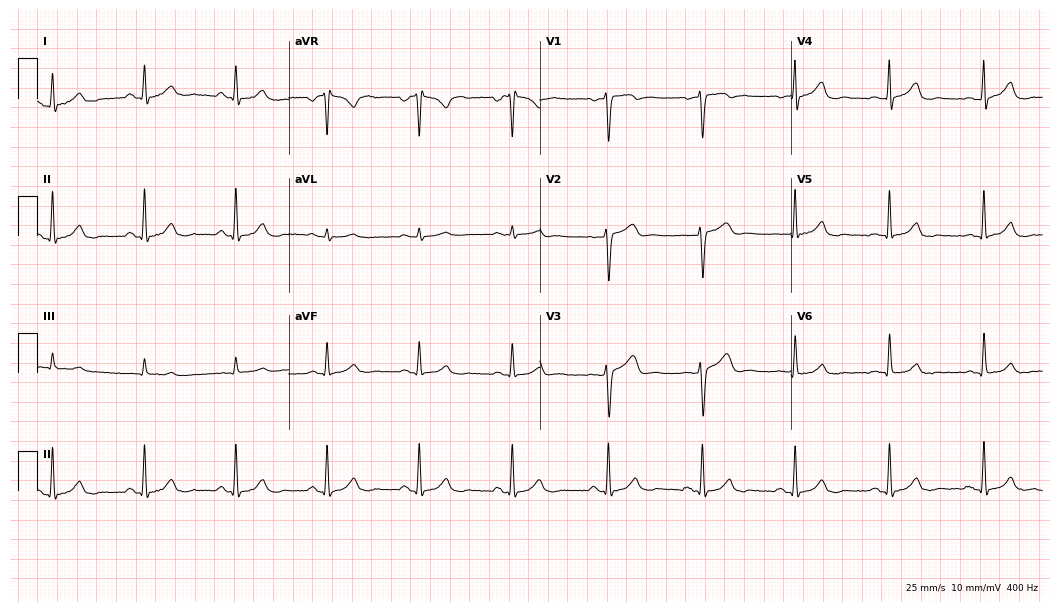
ECG (10.2-second recording at 400 Hz) — a 51-year-old male. Labelled as a normal ECG.